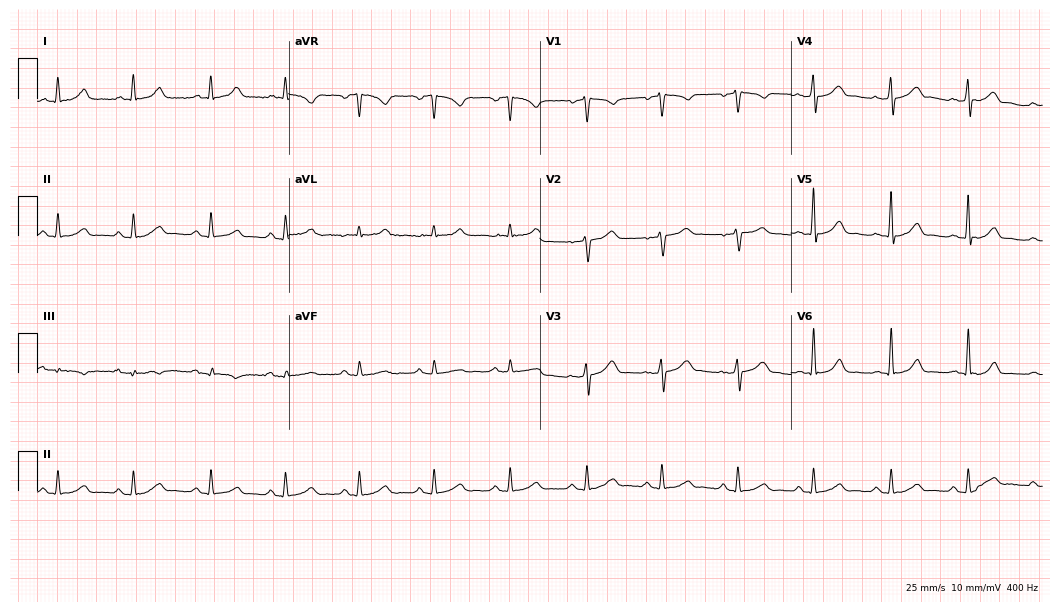
Standard 12-lead ECG recorded from a 59-year-old male (10.2-second recording at 400 Hz). Read as a normal ECG.